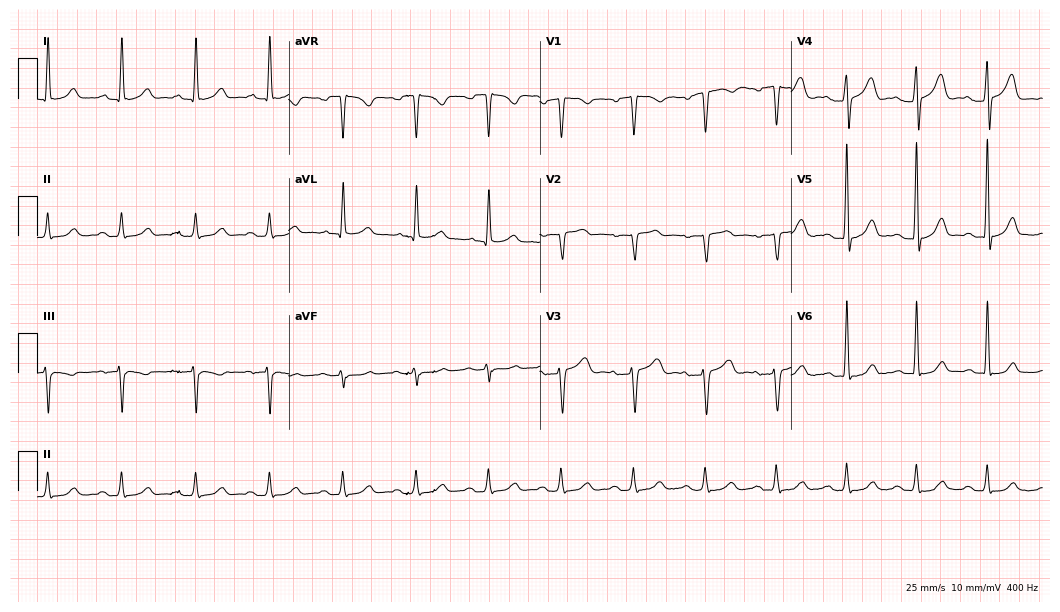
12-lead ECG from a 72-year-old man (10.2-second recording at 400 Hz). Recorded interpretation: within normal limits.